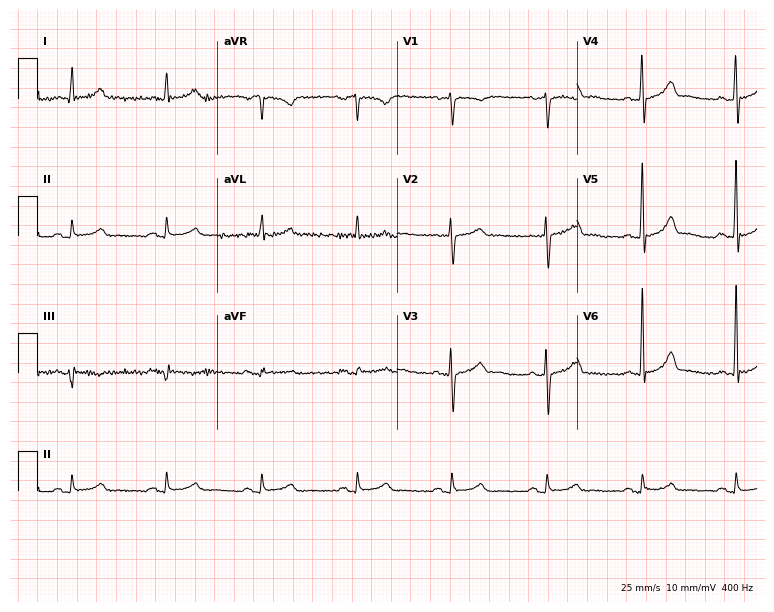
Resting 12-lead electrocardiogram. Patient: a 74-year-old male. Read as a normal ECG.